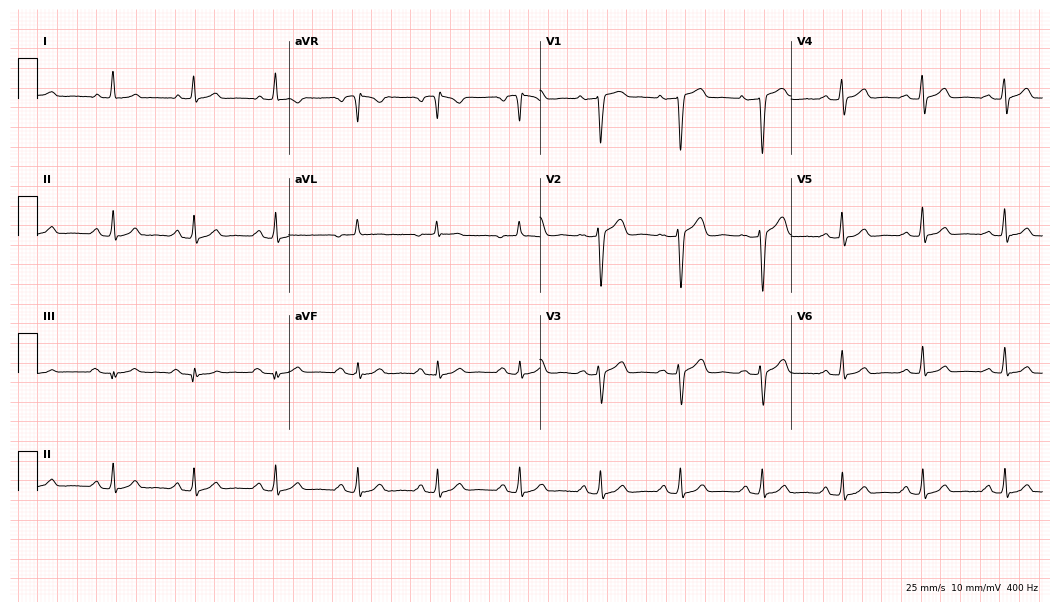
Standard 12-lead ECG recorded from a 46-year-old female patient. Read as a normal ECG.